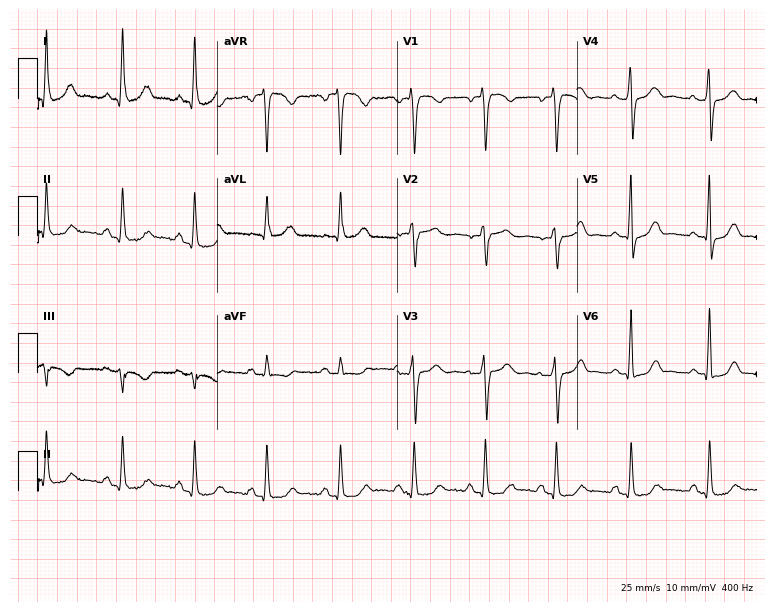
12-lead ECG from a 53-year-old female patient. Screened for six findings — first-degree AV block, right bundle branch block (RBBB), left bundle branch block (LBBB), sinus bradycardia, atrial fibrillation (AF), sinus tachycardia — none is recorded. Findings outside these six are not listed.